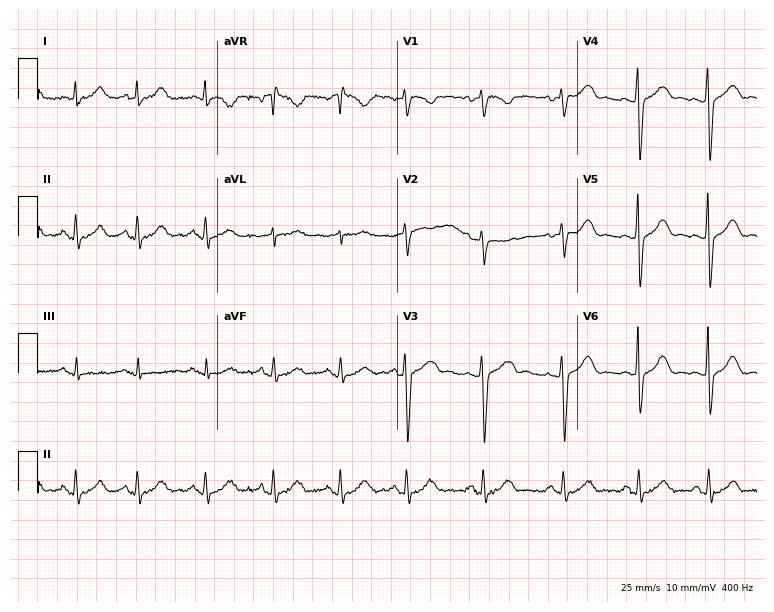
Electrocardiogram (7.3-second recording at 400 Hz), a female patient, 37 years old. Of the six screened findings (first-degree AV block, right bundle branch block, left bundle branch block, sinus bradycardia, atrial fibrillation, sinus tachycardia), none is recorded. Findings outside these six are not listed.